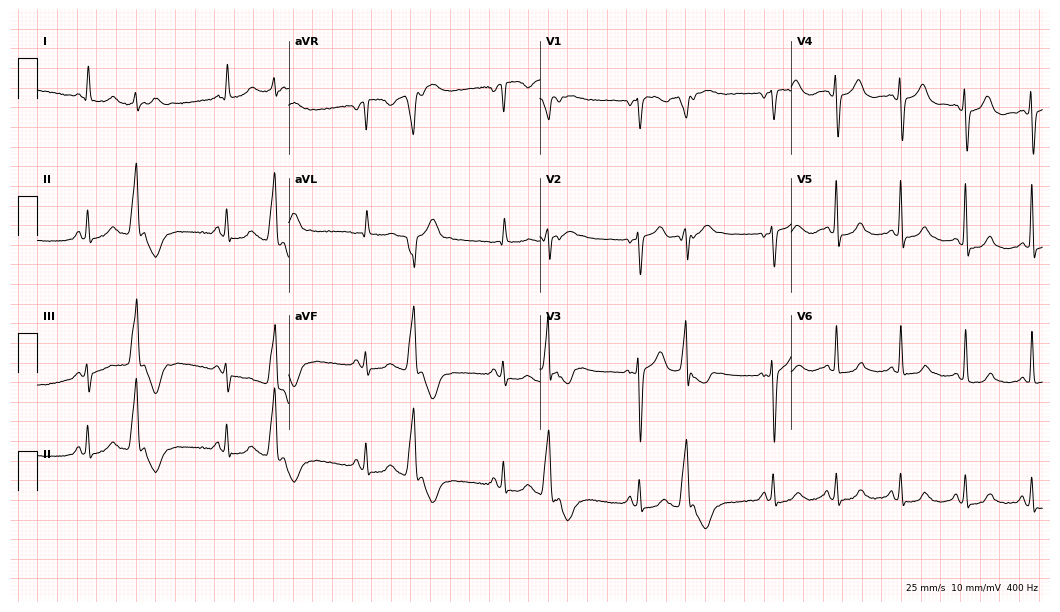
Electrocardiogram (10.2-second recording at 400 Hz), a female patient, 77 years old. Of the six screened findings (first-degree AV block, right bundle branch block (RBBB), left bundle branch block (LBBB), sinus bradycardia, atrial fibrillation (AF), sinus tachycardia), none is recorded.